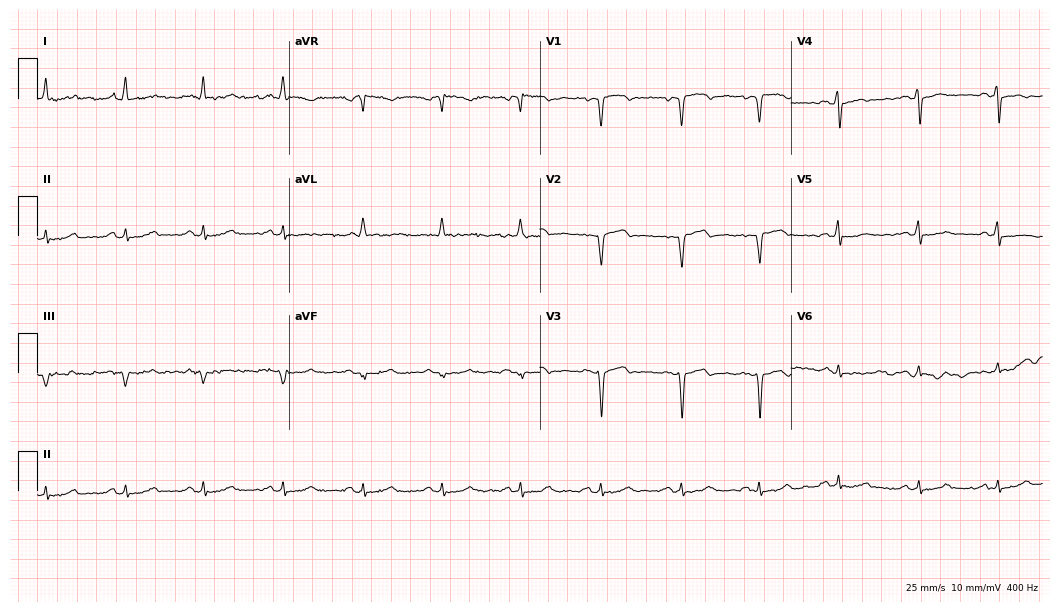
12-lead ECG from a female patient, 60 years old. Screened for six findings — first-degree AV block, right bundle branch block, left bundle branch block, sinus bradycardia, atrial fibrillation, sinus tachycardia — none is recorded. Findings outside these six are not listed.